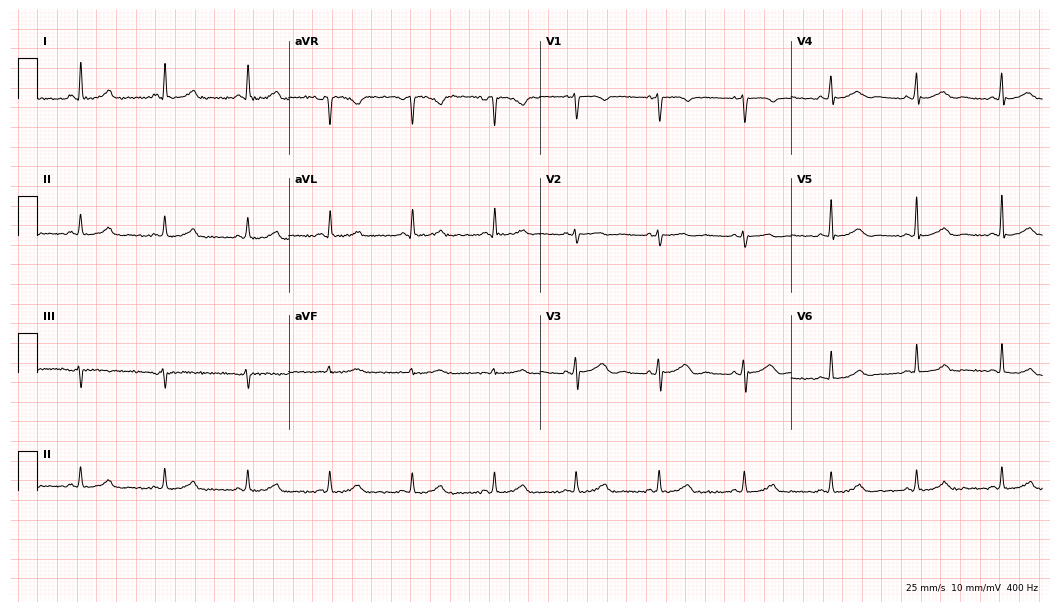
ECG — a 46-year-old female. Labelled as a normal ECG.